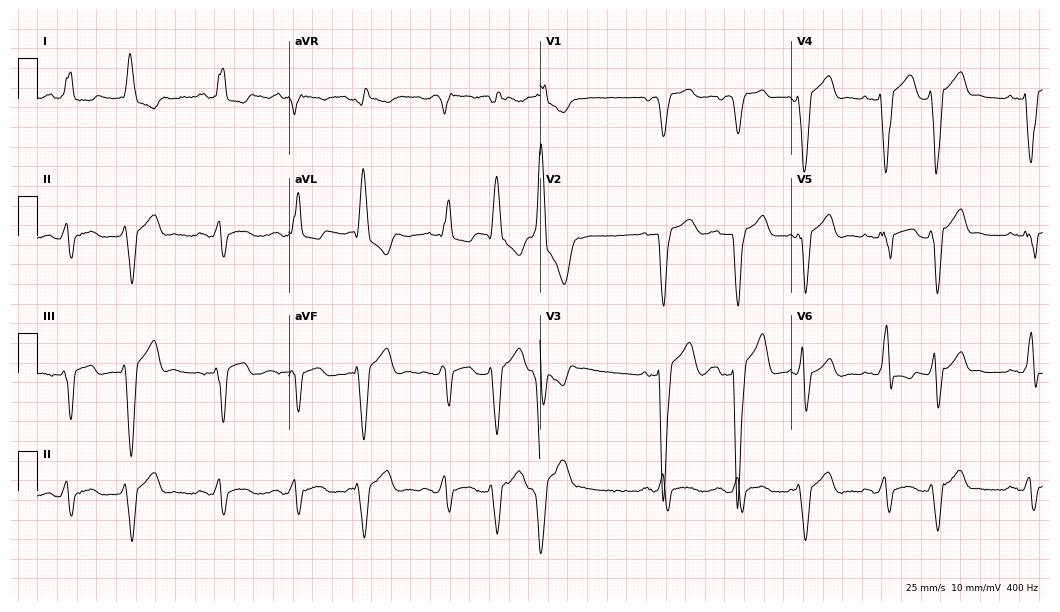
ECG — a female, 67 years old. Screened for six findings — first-degree AV block, right bundle branch block, left bundle branch block, sinus bradycardia, atrial fibrillation, sinus tachycardia — none is recorded. Only these six findings were labelled.